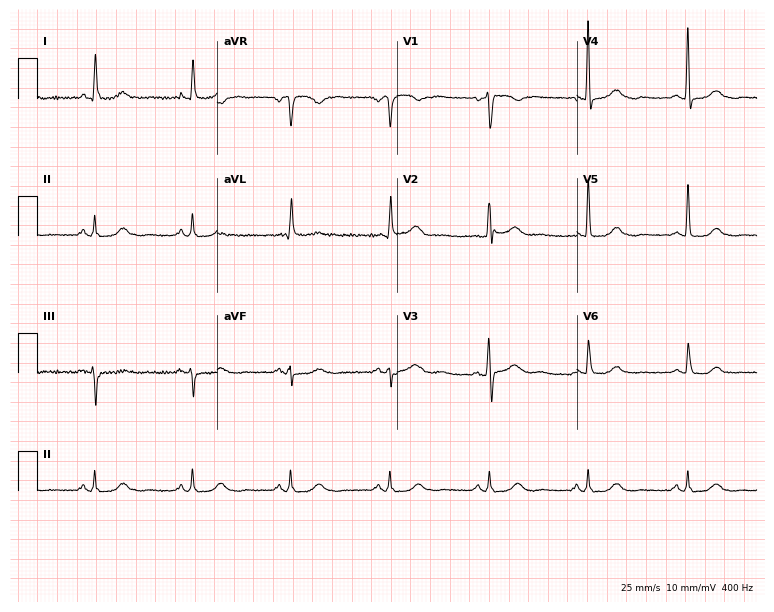
12-lead ECG from a female, 71 years old (7.3-second recording at 400 Hz). No first-degree AV block, right bundle branch block, left bundle branch block, sinus bradycardia, atrial fibrillation or sinus tachycardia recorded for this tracing. Findings outside these six are not listed.